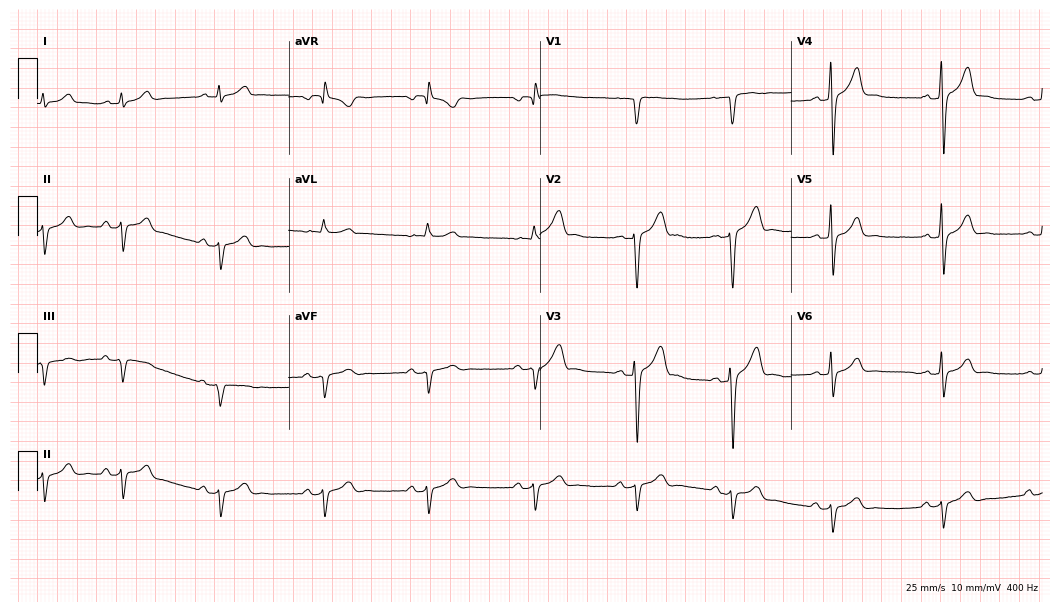
12-lead ECG from a 23-year-old man. Screened for six findings — first-degree AV block, right bundle branch block, left bundle branch block, sinus bradycardia, atrial fibrillation, sinus tachycardia — none is recorded. Other findings, if any, are not listed.